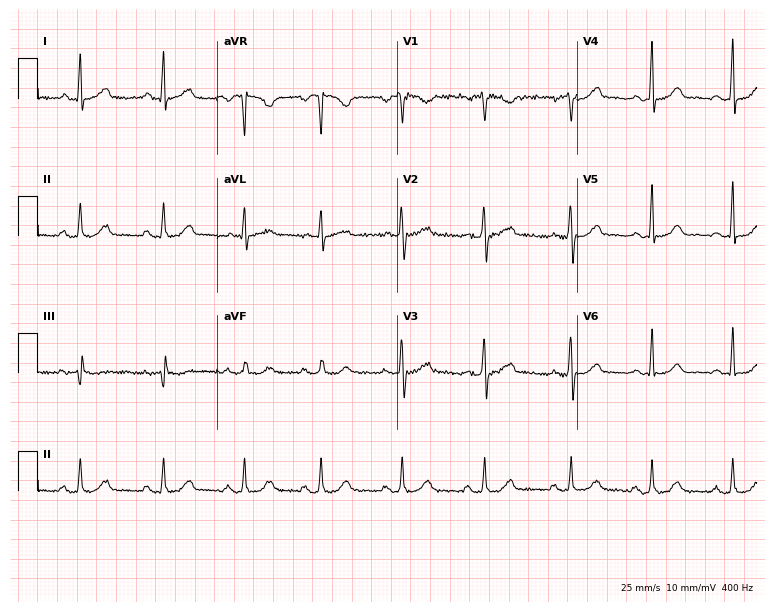
ECG (7.3-second recording at 400 Hz) — a female patient, 33 years old. Screened for six findings — first-degree AV block, right bundle branch block (RBBB), left bundle branch block (LBBB), sinus bradycardia, atrial fibrillation (AF), sinus tachycardia — none is recorded.